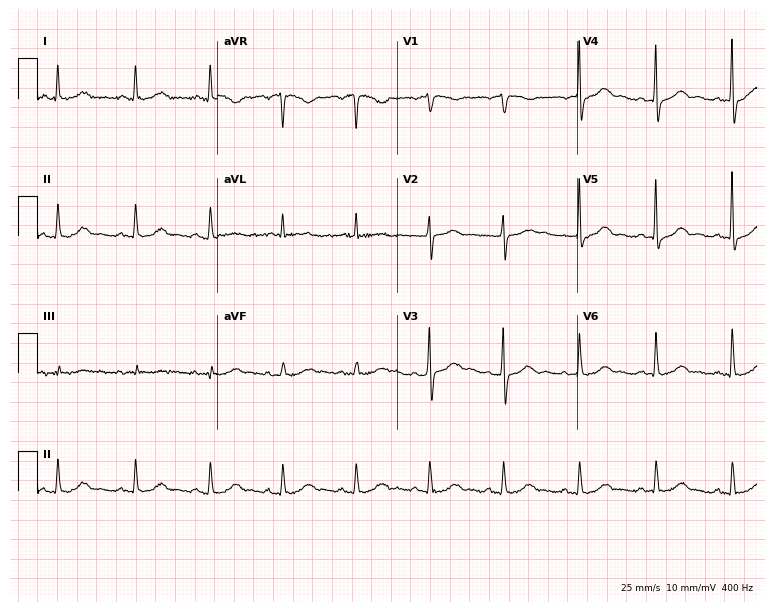
ECG — a 70-year-old female. Labelled as a normal ECG.